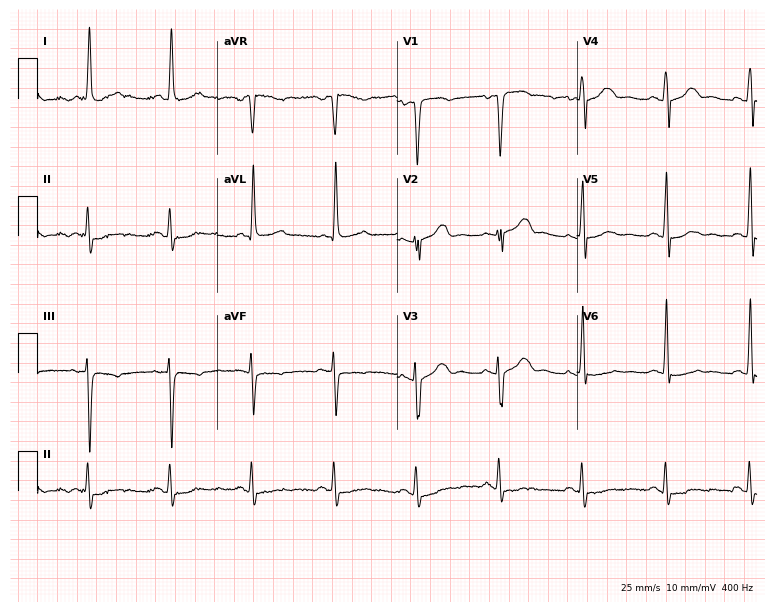
12-lead ECG from a female, 75 years old. No first-degree AV block, right bundle branch block (RBBB), left bundle branch block (LBBB), sinus bradycardia, atrial fibrillation (AF) or sinus tachycardia recorded for this tracing. Only these six findings were labelled.